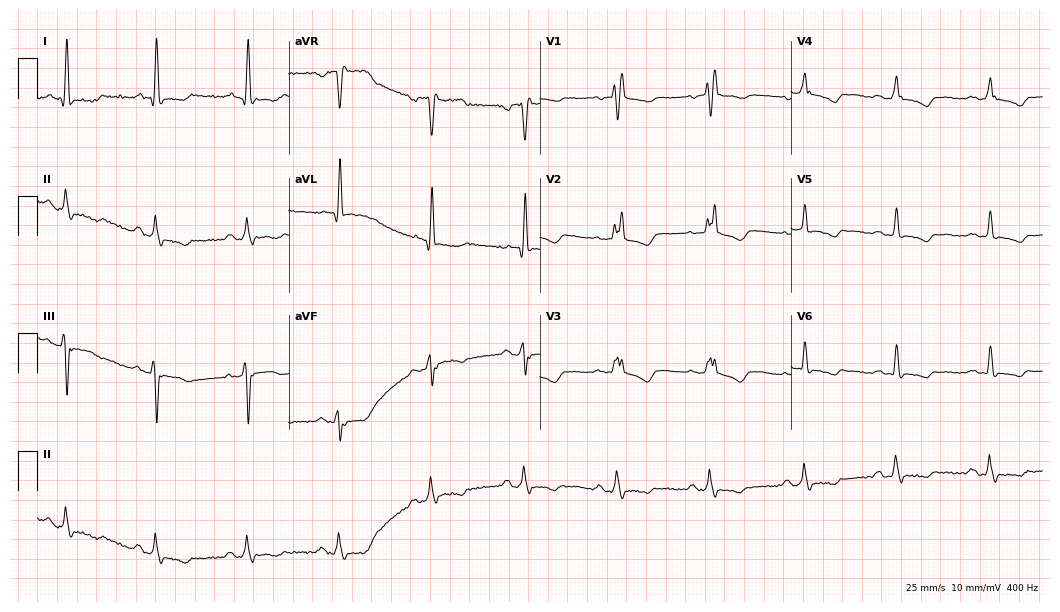
Resting 12-lead electrocardiogram (10.2-second recording at 400 Hz). Patient: a 67-year-old female. The tracing shows right bundle branch block.